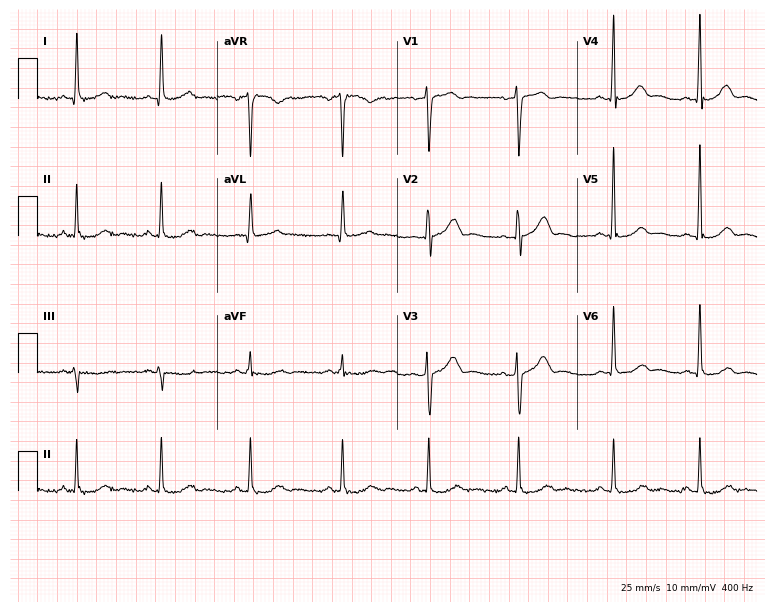
Electrocardiogram, a female patient, 65 years old. Of the six screened findings (first-degree AV block, right bundle branch block (RBBB), left bundle branch block (LBBB), sinus bradycardia, atrial fibrillation (AF), sinus tachycardia), none is recorded. Only these six findings were labelled.